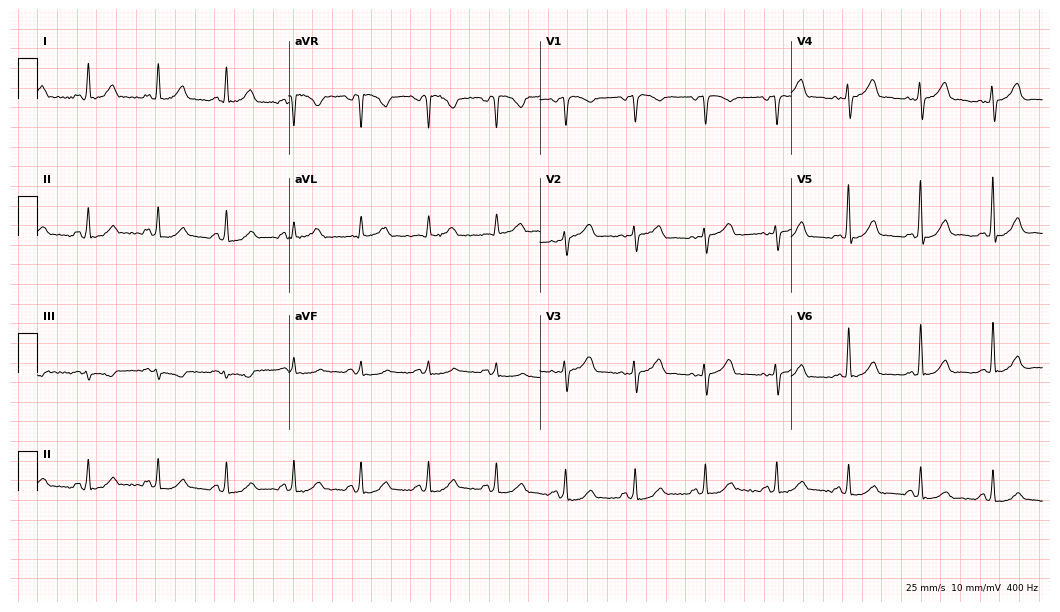
Resting 12-lead electrocardiogram (10.2-second recording at 400 Hz). Patient: a woman, 50 years old. None of these six findings is recorded: first-degree AV block, right bundle branch block, left bundle branch block, sinus bradycardia, atrial fibrillation, sinus tachycardia.